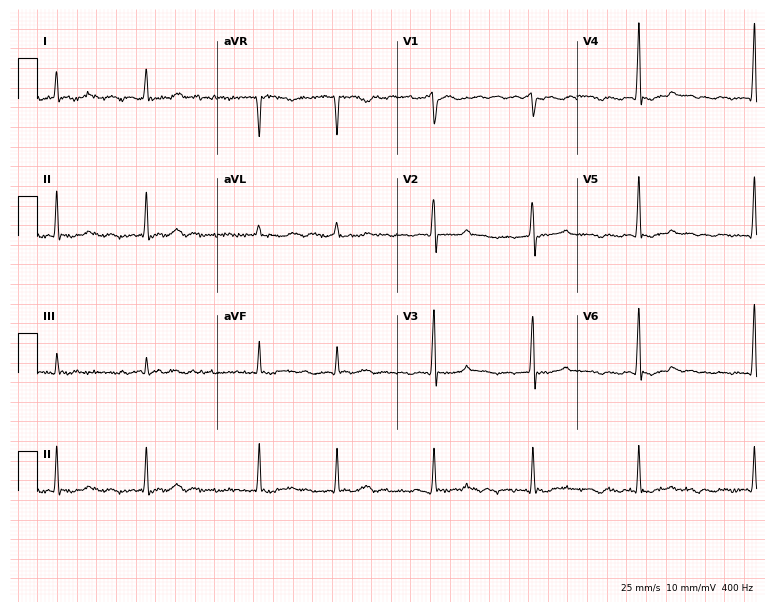
Electrocardiogram (7.3-second recording at 400 Hz), a 60-year-old man. Interpretation includes atrial fibrillation.